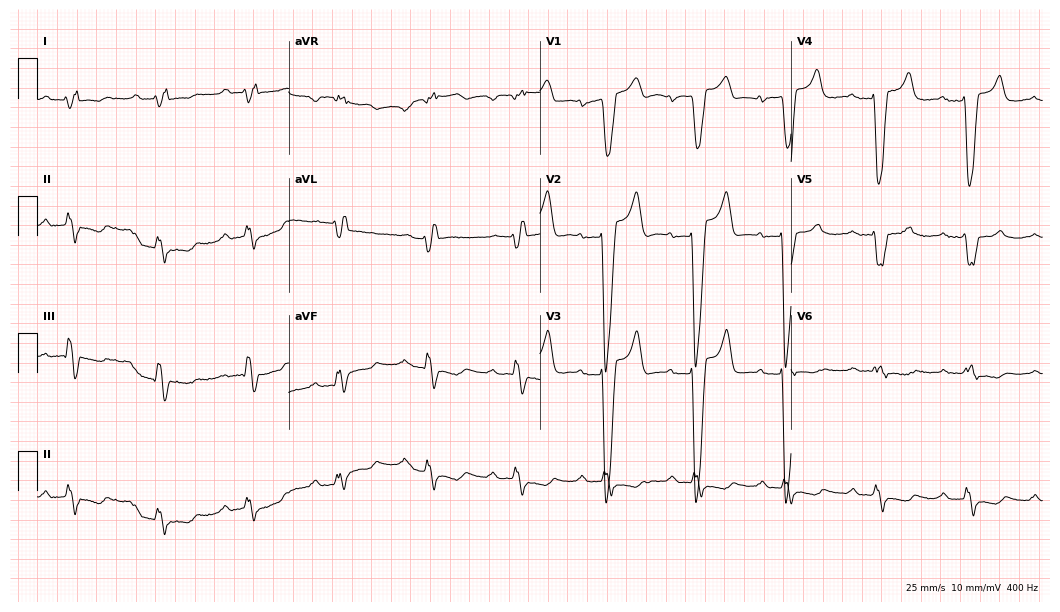
Electrocardiogram (10.2-second recording at 400 Hz), a 73-year-old male. Interpretation includes first-degree AV block, left bundle branch block.